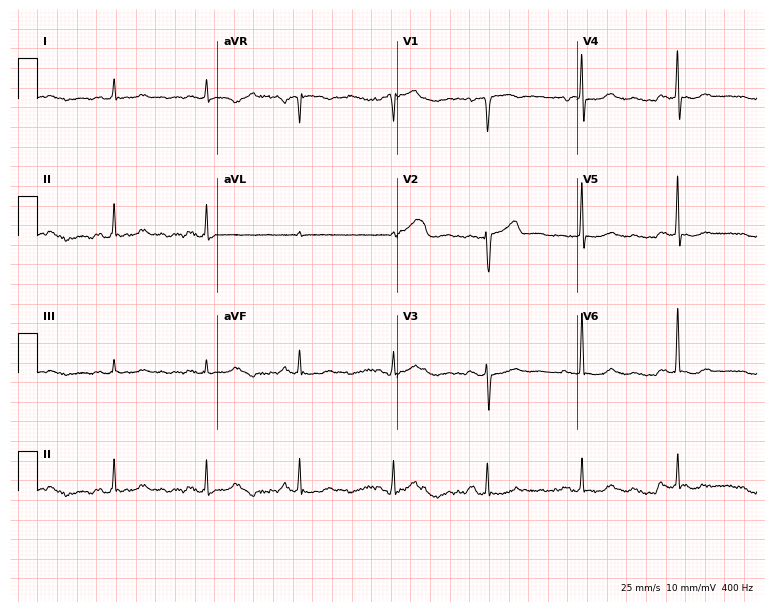
12-lead ECG from a 62-year-old female. No first-degree AV block, right bundle branch block, left bundle branch block, sinus bradycardia, atrial fibrillation or sinus tachycardia recorded for this tracing. Only these six findings were labelled.